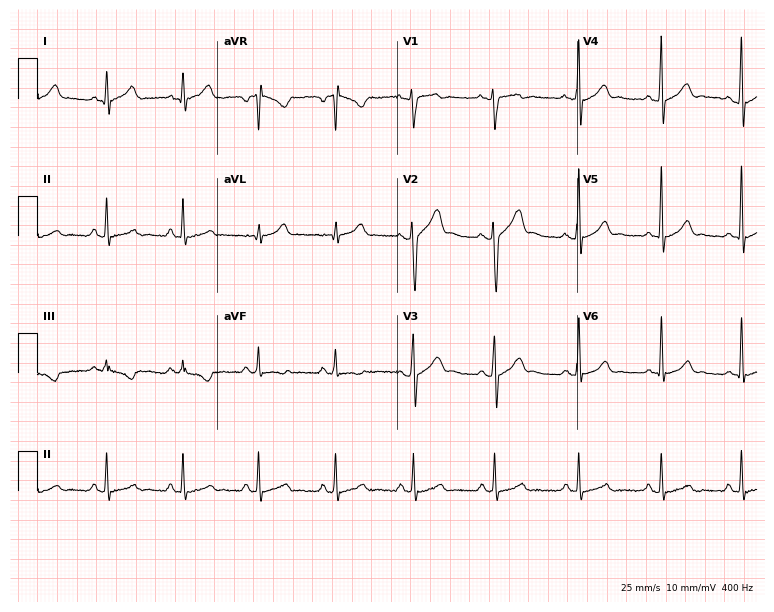
ECG — a 26-year-old man. Labelled as a normal ECG.